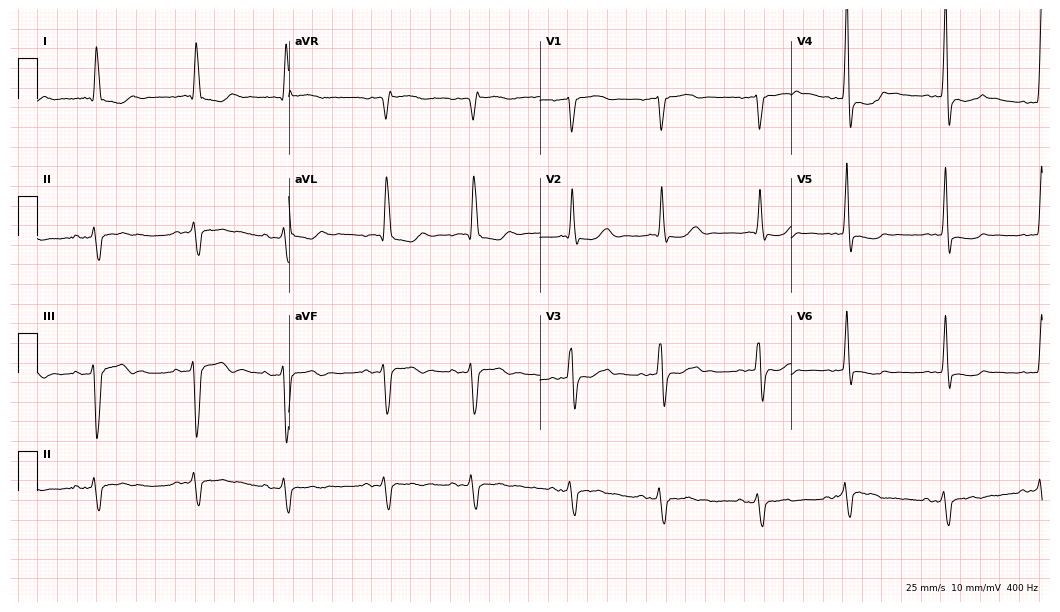
Resting 12-lead electrocardiogram. Patient: a female, 82 years old. None of these six findings is recorded: first-degree AV block, right bundle branch block (RBBB), left bundle branch block (LBBB), sinus bradycardia, atrial fibrillation (AF), sinus tachycardia.